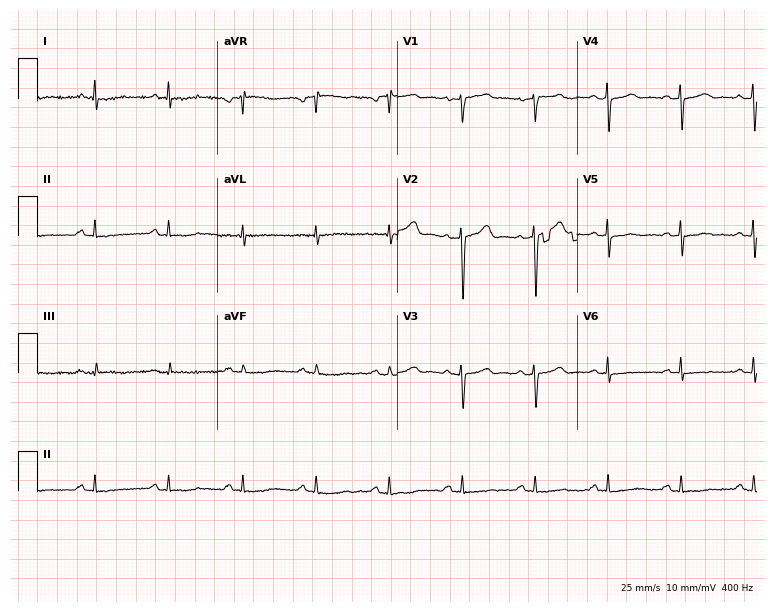
Standard 12-lead ECG recorded from a 44-year-old woman. Read as a normal ECG.